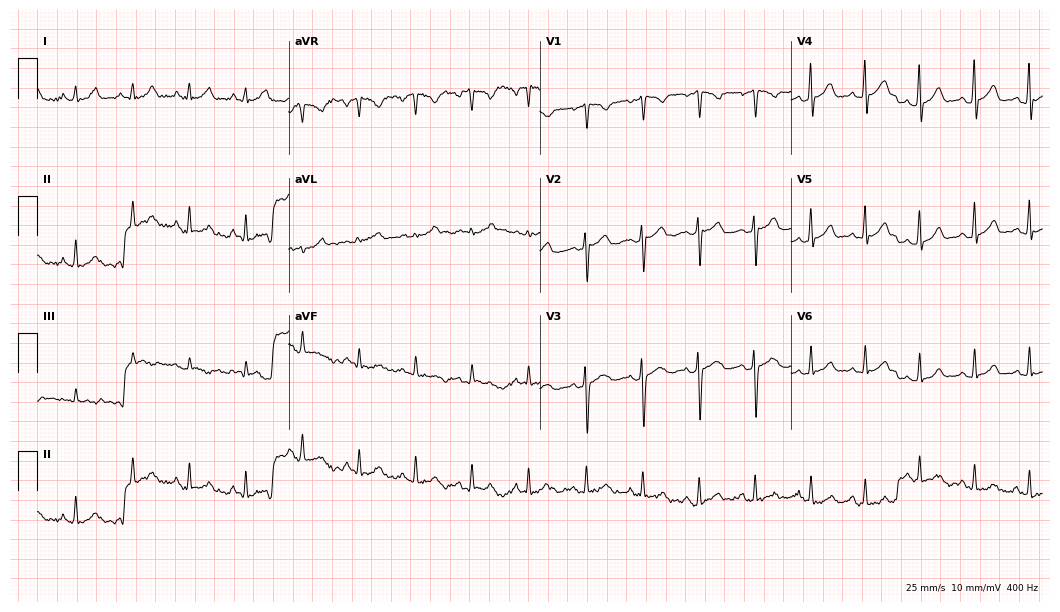
Standard 12-lead ECG recorded from a woman, 21 years old. The tracing shows sinus tachycardia (a sinus rate of 100 beats per minute or more).